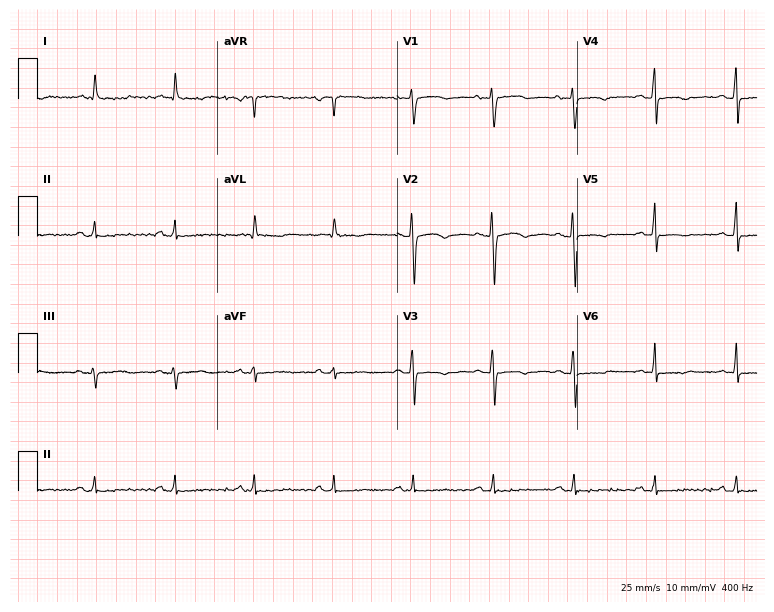
Resting 12-lead electrocardiogram (7.3-second recording at 400 Hz). Patient: a female, 62 years old. None of these six findings is recorded: first-degree AV block, right bundle branch block, left bundle branch block, sinus bradycardia, atrial fibrillation, sinus tachycardia.